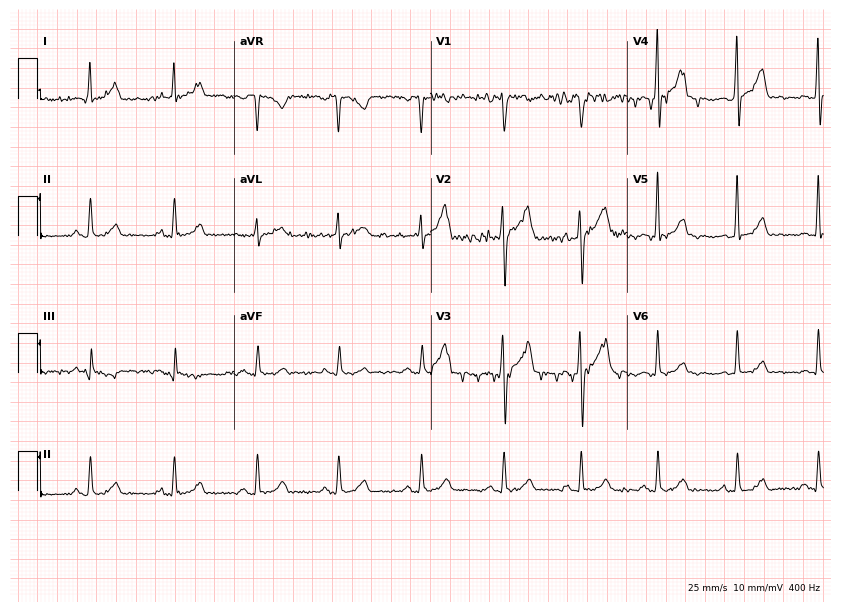
Standard 12-lead ECG recorded from a male patient, 74 years old. None of these six findings is recorded: first-degree AV block, right bundle branch block, left bundle branch block, sinus bradycardia, atrial fibrillation, sinus tachycardia. Other findings, if any, are not listed.